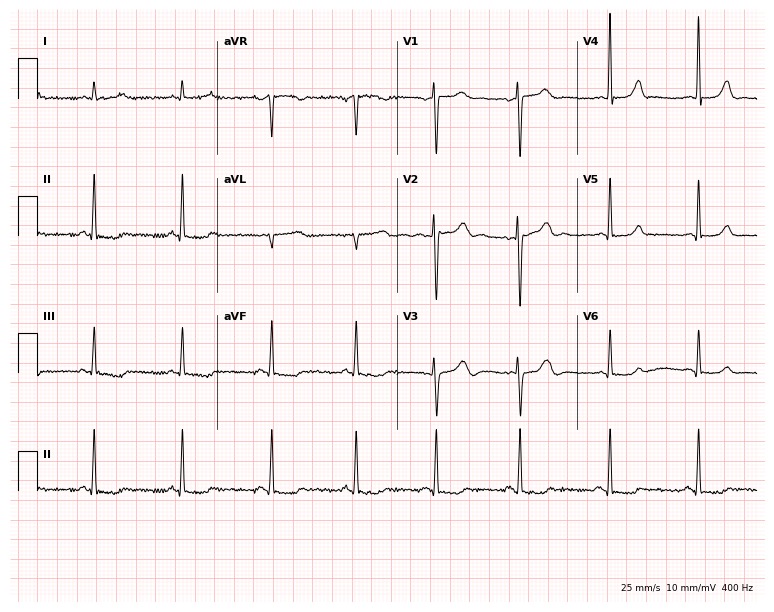
12-lead ECG from a female patient, 41 years old. Screened for six findings — first-degree AV block, right bundle branch block, left bundle branch block, sinus bradycardia, atrial fibrillation, sinus tachycardia — none is recorded. Findings outside these six are not listed.